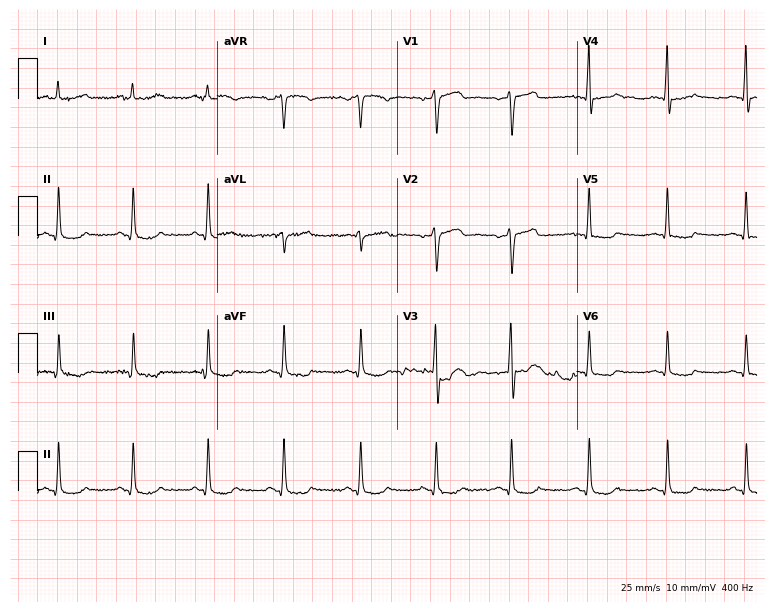
12-lead ECG from a 35-year-old male patient. No first-degree AV block, right bundle branch block, left bundle branch block, sinus bradycardia, atrial fibrillation or sinus tachycardia recorded for this tracing.